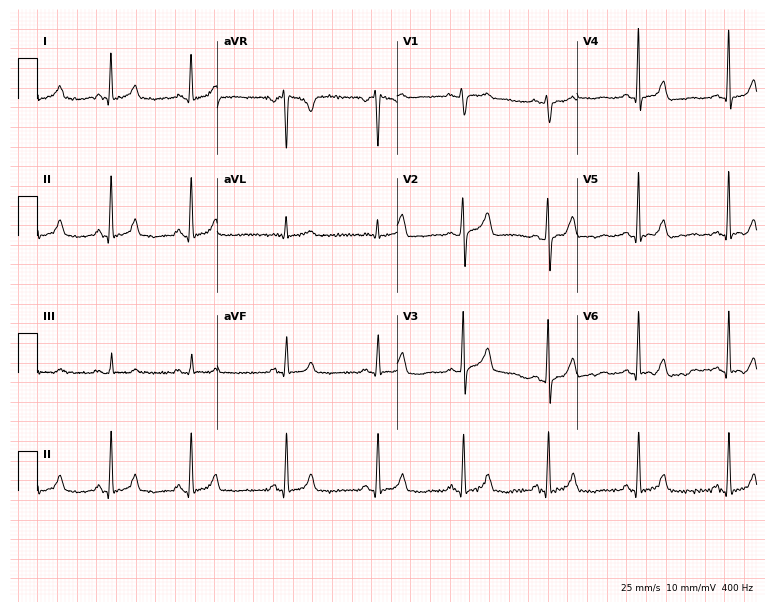
Resting 12-lead electrocardiogram. Patient: a 46-year-old female. None of these six findings is recorded: first-degree AV block, right bundle branch block, left bundle branch block, sinus bradycardia, atrial fibrillation, sinus tachycardia. Other findings, if any, are not listed.